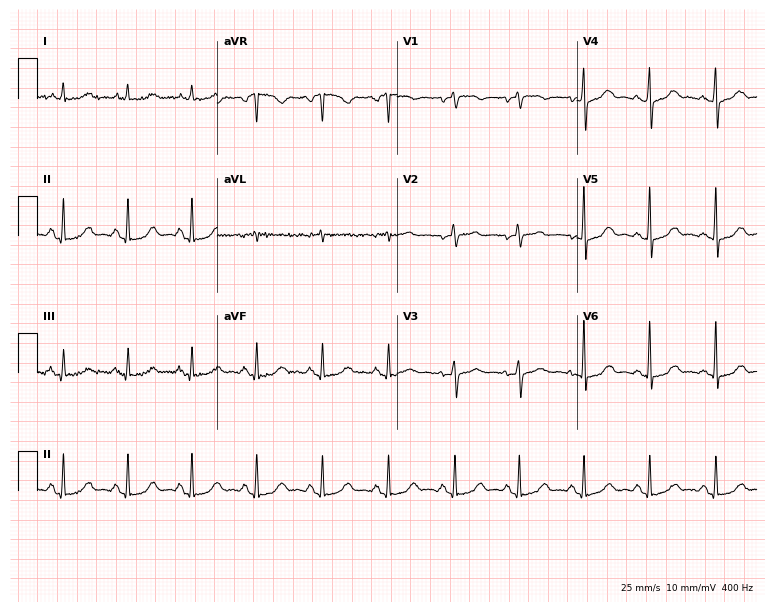
12-lead ECG (7.3-second recording at 400 Hz) from a 65-year-old female. Labelled as a normal ECG.